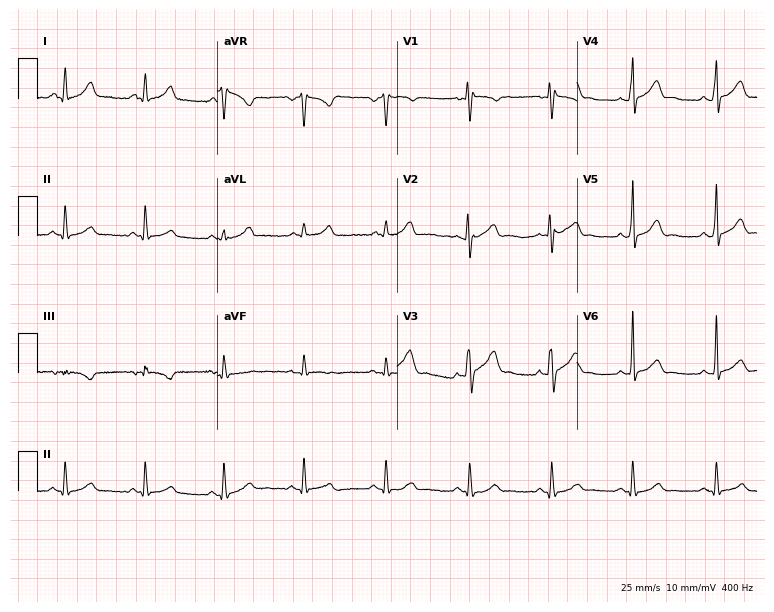
ECG (7.3-second recording at 400 Hz) — a male patient, 32 years old. Screened for six findings — first-degree AV block, right bundle branch block, left bundle branch block, sinus bradycardia, atrial fibrillation, sinus tachycardia — none is recorded. Findings outside these six are not listed.